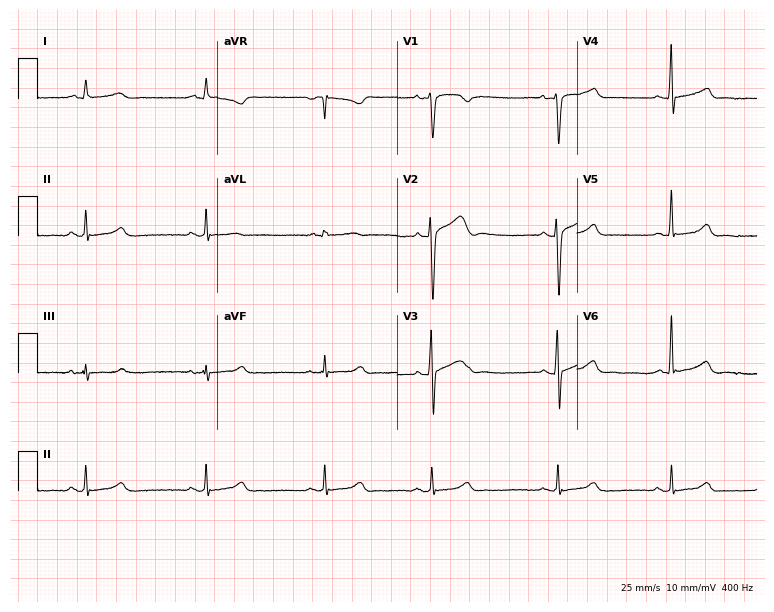
Resting 12-lead electrocardiogram (7.3-second recording at 400 Hz). Patient: a man, 22 years old. The tracing shows sinus bradycardia (a sinus rate of 50 beats per minute or less).